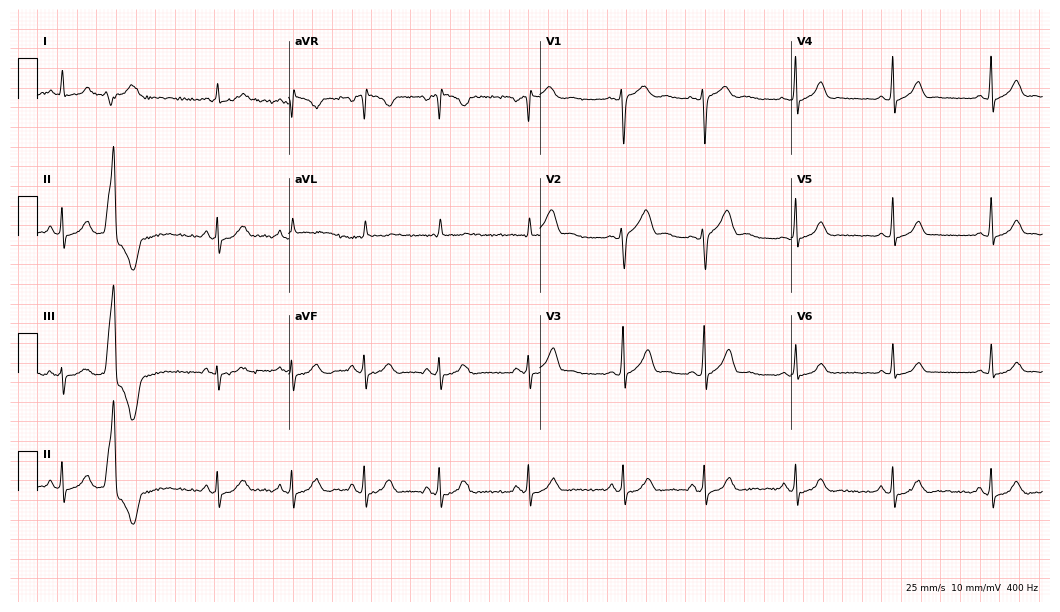
Electrocardiogram, a female patient, 32 years old. Of the six screened findings (first-degree AV block, right bundle branch block, left bundle branch block, sinus bradycardia, atrial fibrillation, sinus tachycardia), none is recorded. Findings outside these six are not listed.